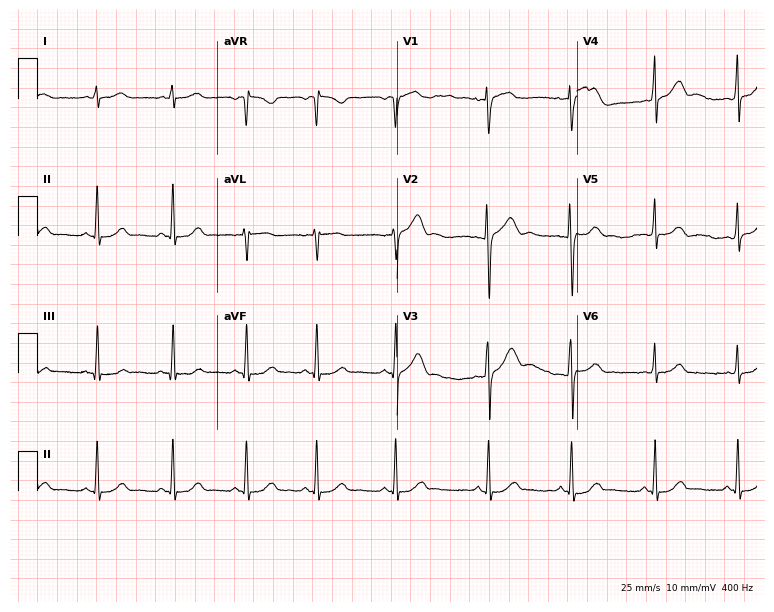
ECG — a 22-year-old female patient. Labelled as a normal ECG.